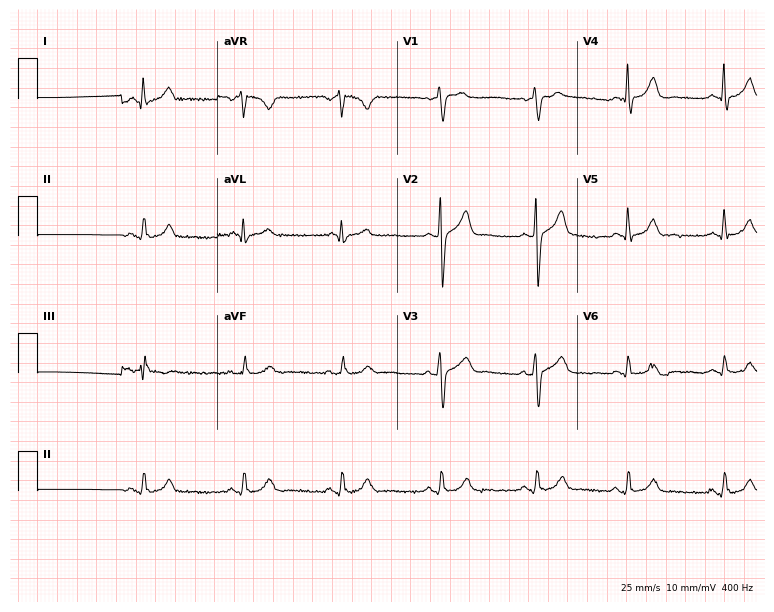
12-lead ECG (7.3-second recording at 400 Hz) from a man, 42 years old. Labelled as a normal ECG.